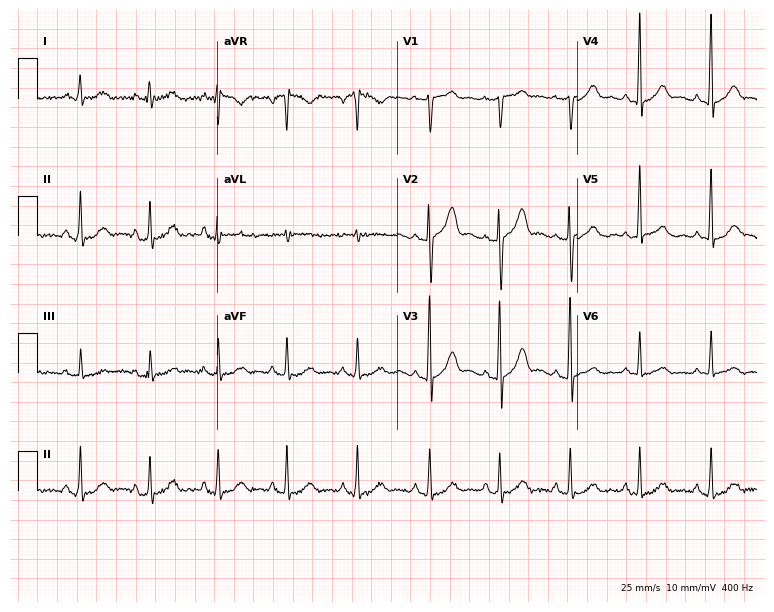
Standard 12-lead ECG recorded from a man, 65 years old (7.3-second recording at 400 Hz). None of these six findings is recorded: first-degree AV block, right bundle branch block (RBBB), left bundle branch block (LBBB), sinus bradycardia, atrial fibrillation (AF), sinus tachycardia.